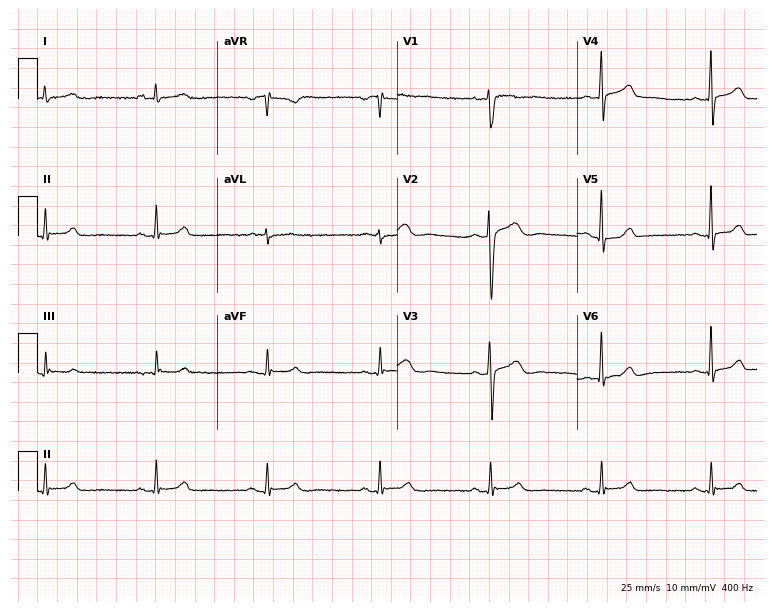
Electrocardiogram, a 34-year-old male patient. Overall reading on record: normal ECG.